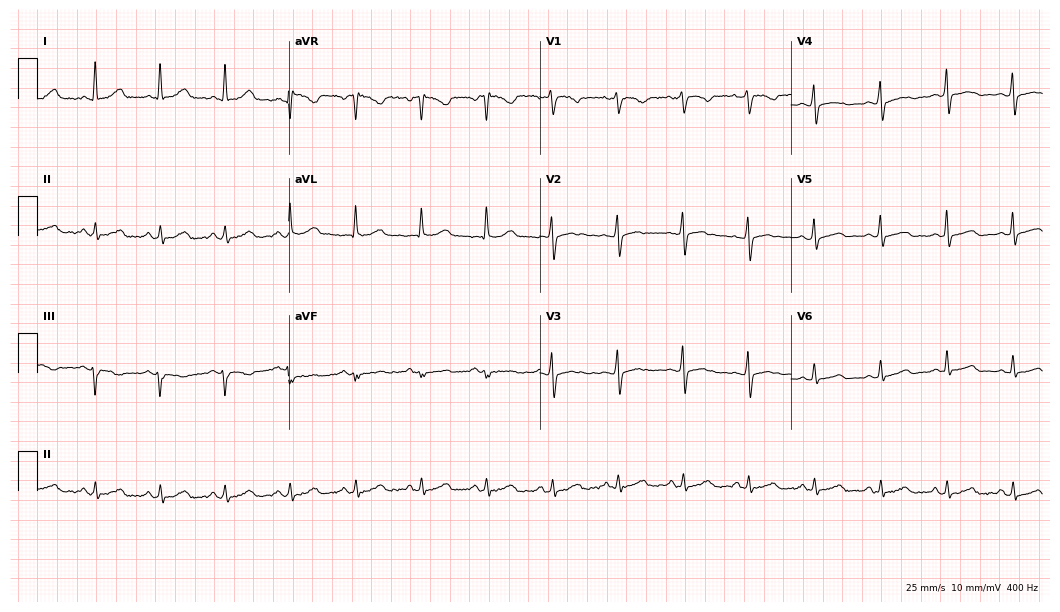
Standard 12-lead ECG recorded from a 46-year-old female patient (10.2-second recording at 400 Hz). None of these six findings is recorded: first-degree AV block, right bundle branch block, left bundle branch block, sinus bradycardia, atrial fibrillation, sinus tachycardia.